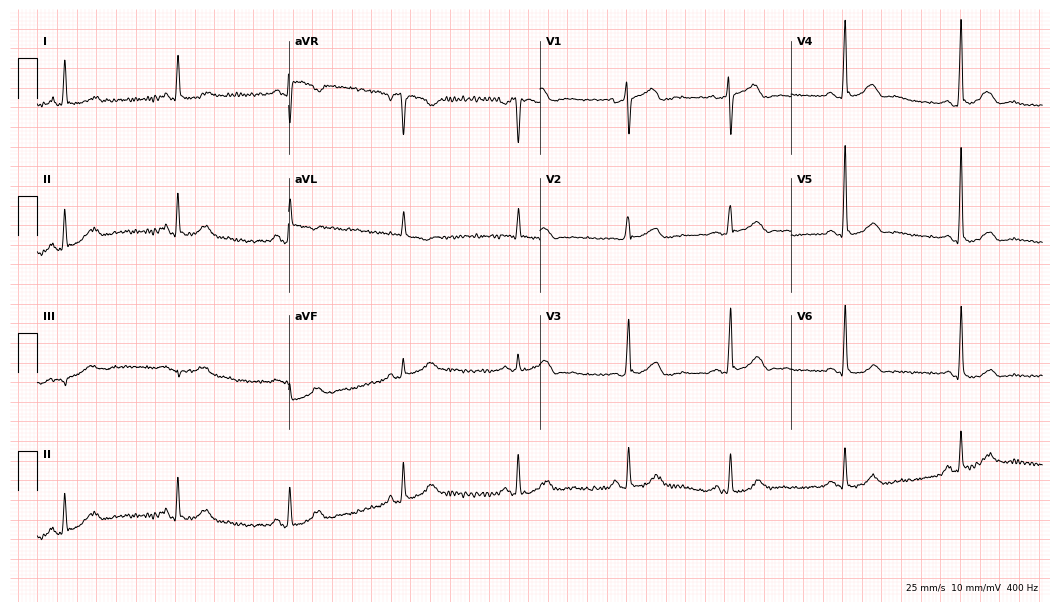
12-lead ECG from a male patient, 69 years old. Screened for six findings — first-degree AV block, right bundle branch block, left bundle branch block, sinus bradycardia, atrial fibrillation, sinus tachycardia — none is recorded. Only these six findings were labelled.